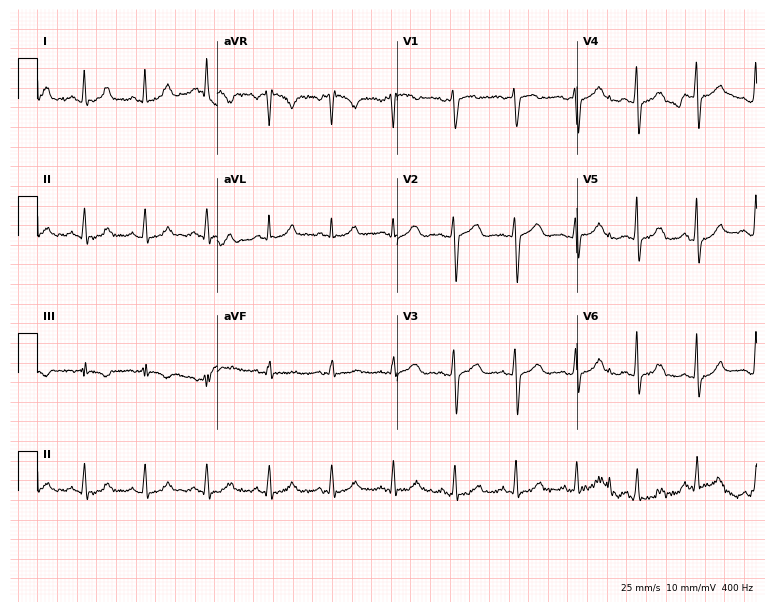
Resting 12-lead electrocardiogram. Patient: a 37-year-old female. Read as a normal ECG.